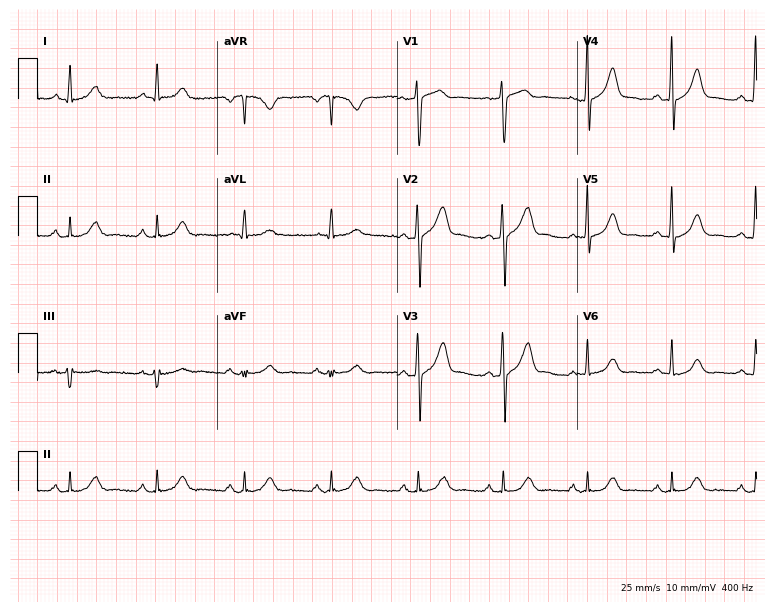
Resting 12-lead electrocardiogram (7.3-second recording at 400 Hz). Patient: a 68-year-old male. Read as a normal ECG.